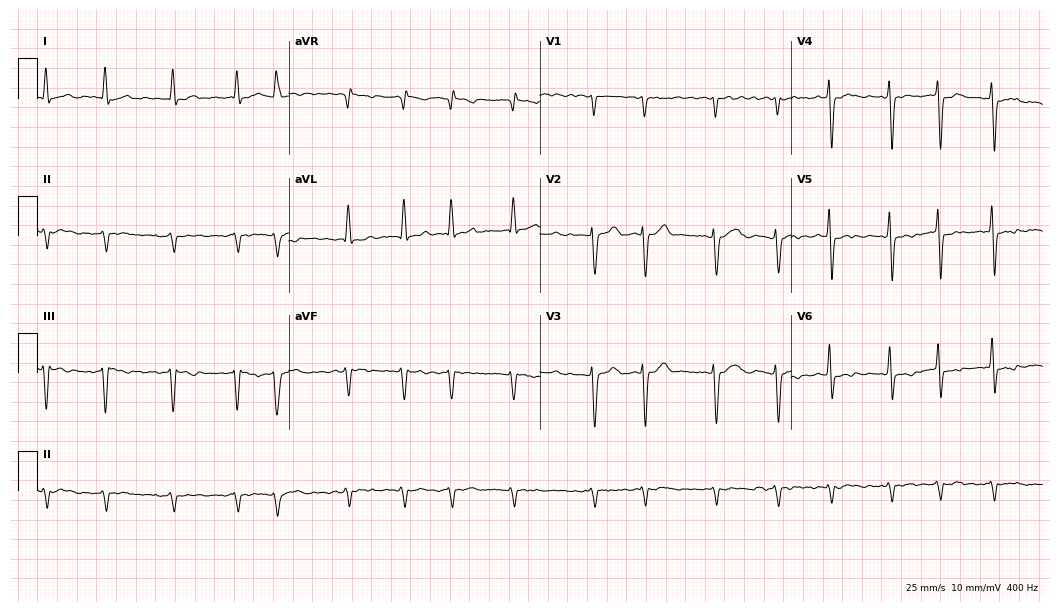
12-lead ECG from an 85-year-old man. Findings include atrial fibrillation (AF).